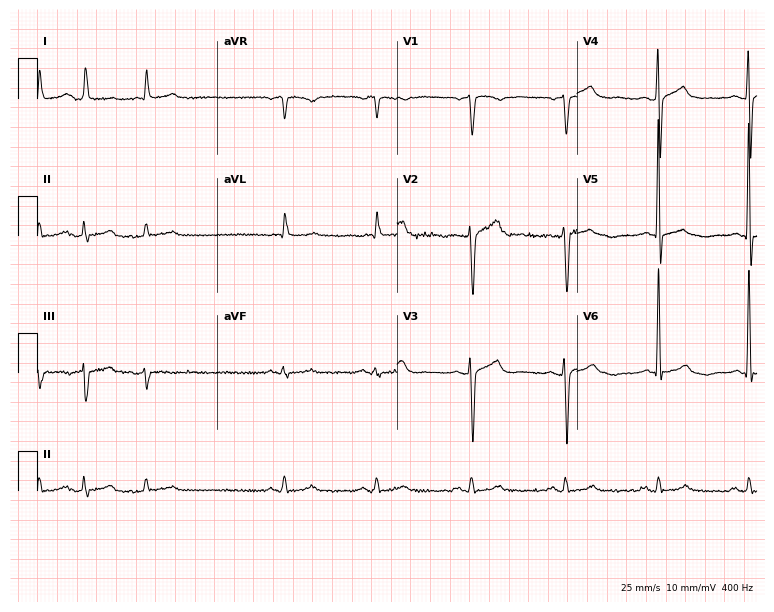
12-lead ECG from a male, 83 years old. Screened for six findings — first-degree AV block, right bundle branch block, left bundle branch block, sinus bradycardia, atrial fibrillation, sinus tachycardia — none is recorded. Other findings, if any, are not listed.